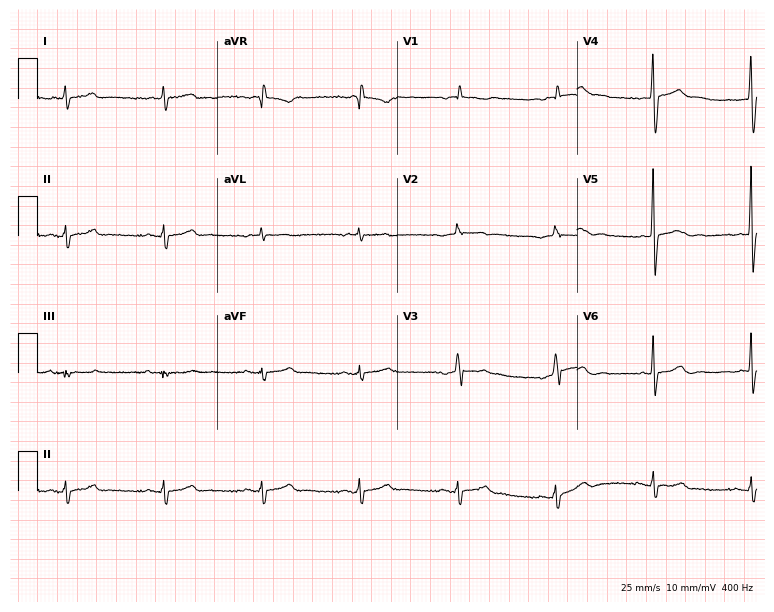
Standard 12-lead ECG recorded from a male patient, 84 years old (7.3-second recording at 400 Hz). Read as a normal ECG.